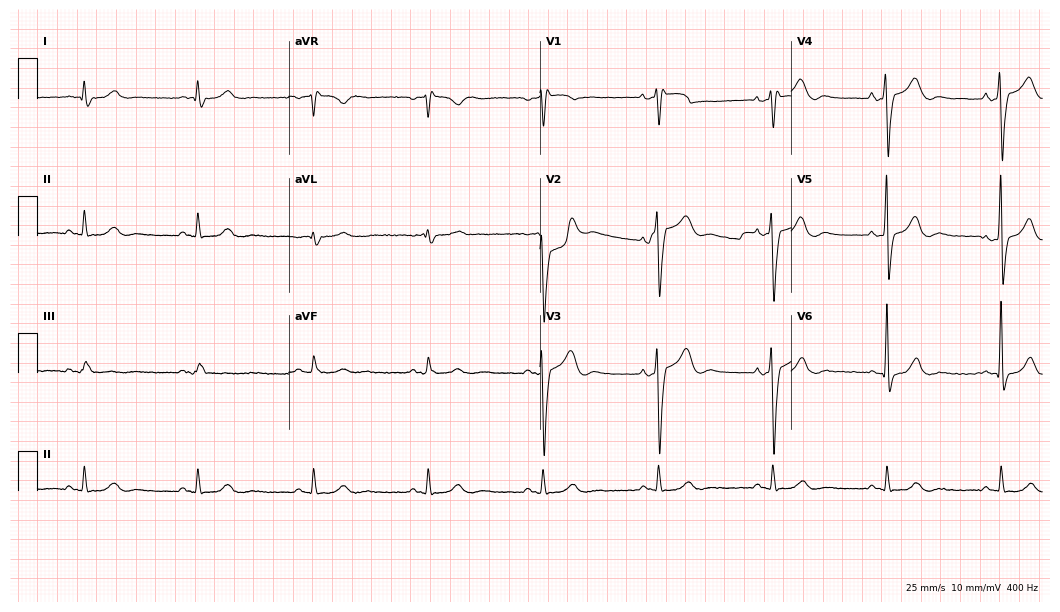
Standard 12-lead ECG recorded from a man, 79 years old. None of these six findings is recorded: first-degree AV block, right bundle branch block, left bundle branch block, sinus bradycardia, atrial fibrillation, sinus tachycardia.